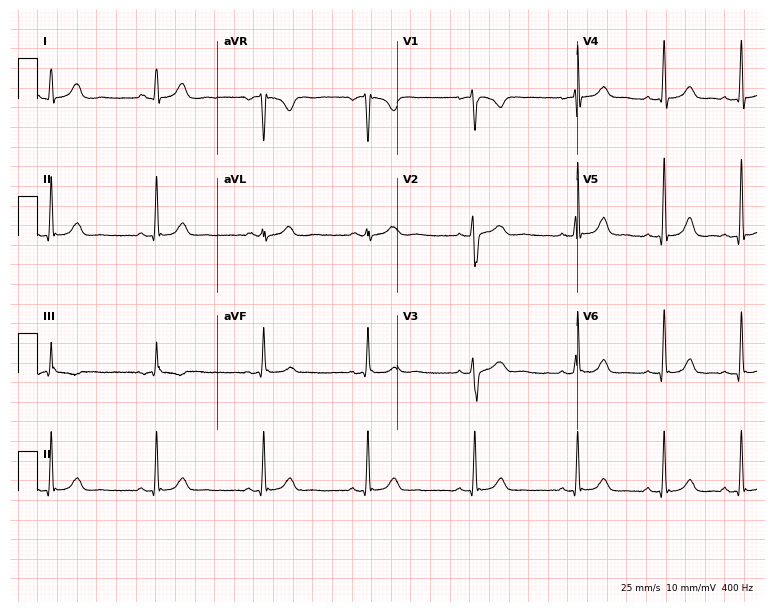
Standard 12-lead ECG recorded from a woman, 25 years old. None of these six findings is recorded: first-degree AV block, right bundle branch block, left bundle branch block, sinus bradycardia, atrial fibrillation, sinus tachycardia.